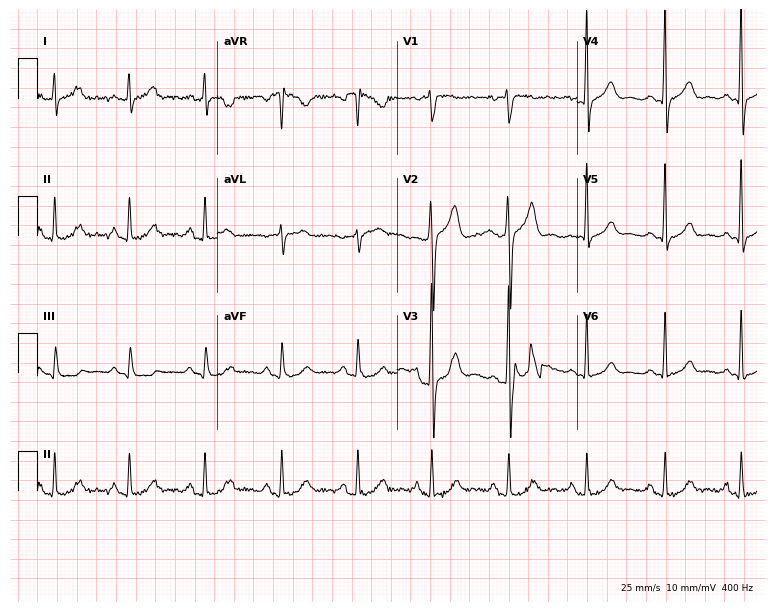
ECG (7.3-second recording at 400 Hz) — a 47-year-old male patient. Labelled as a normal ECG.